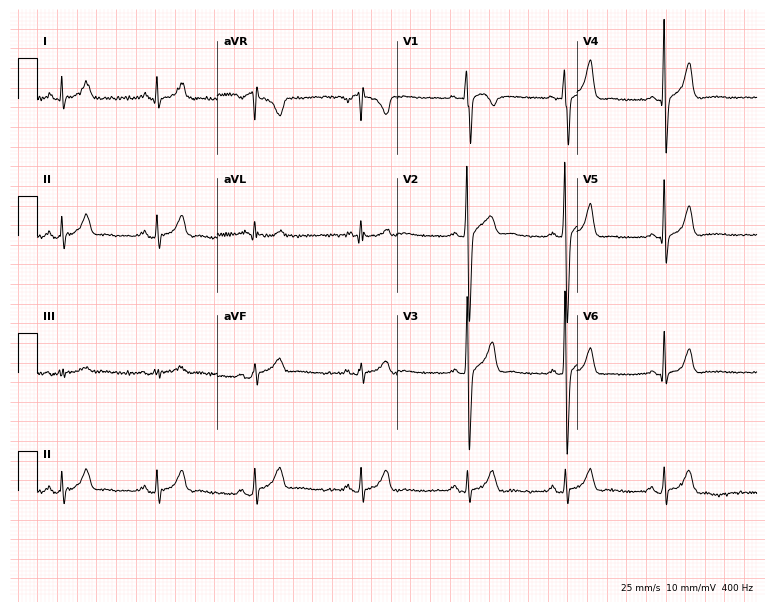
12-lead ECG from a male patient, 21 years old. Screened for six findings — first-degree AV block, right bundle branch block (RBBB), left bundle branch block (LBBB), sinus bradycardia, atrial fibrillation (AF), sinus tachycardia — none is recorded. Findings outside these six are not listed.